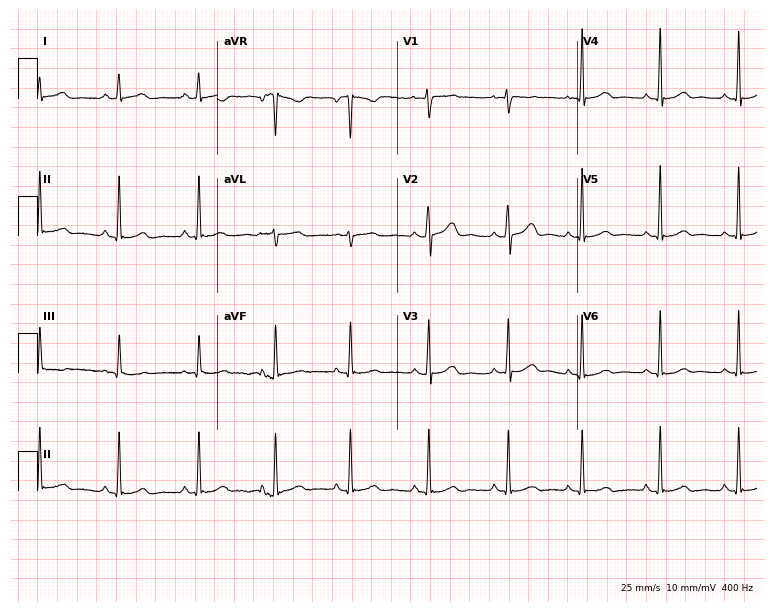
ECG — a 41-year-old woman. Labelled as a normal ECG.